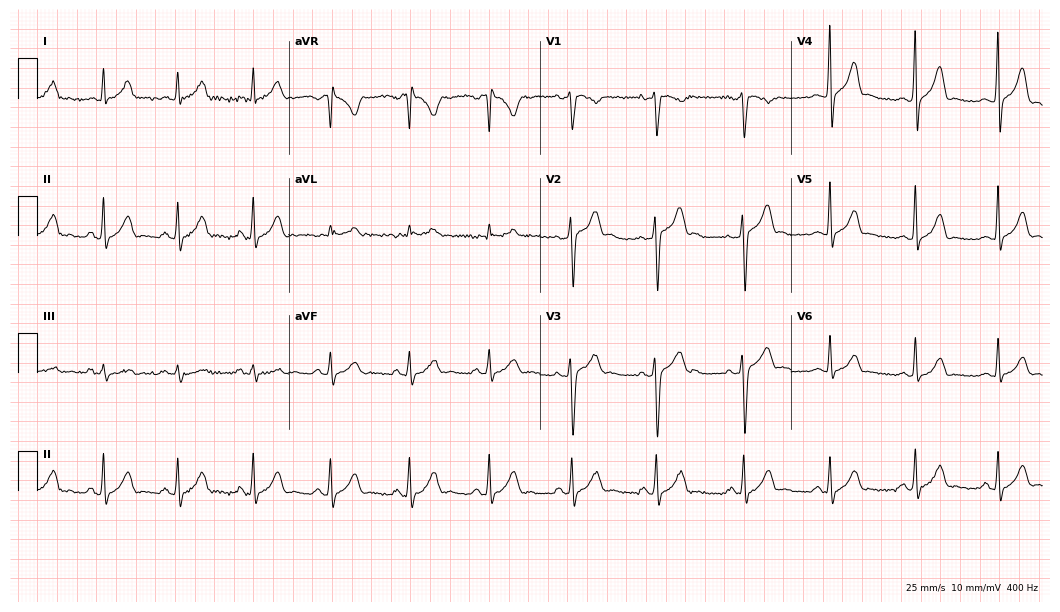
Electrocardiogram (10.2-second recording at 400 Hz), a 33-year-old male. Overall reading on record: normal ECG.